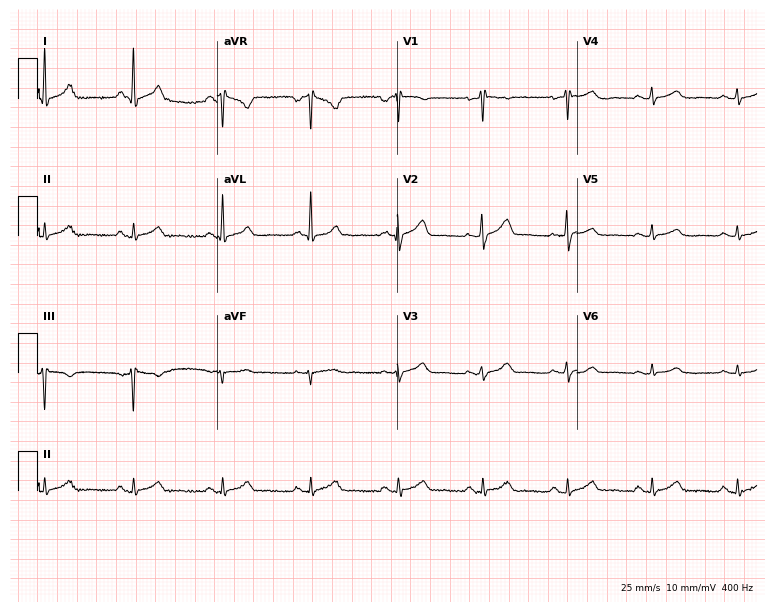
12-lead ECG from a 60-year-old female (7.3-second recording at 400 Hz). Recorded interpretation: within normal limits.